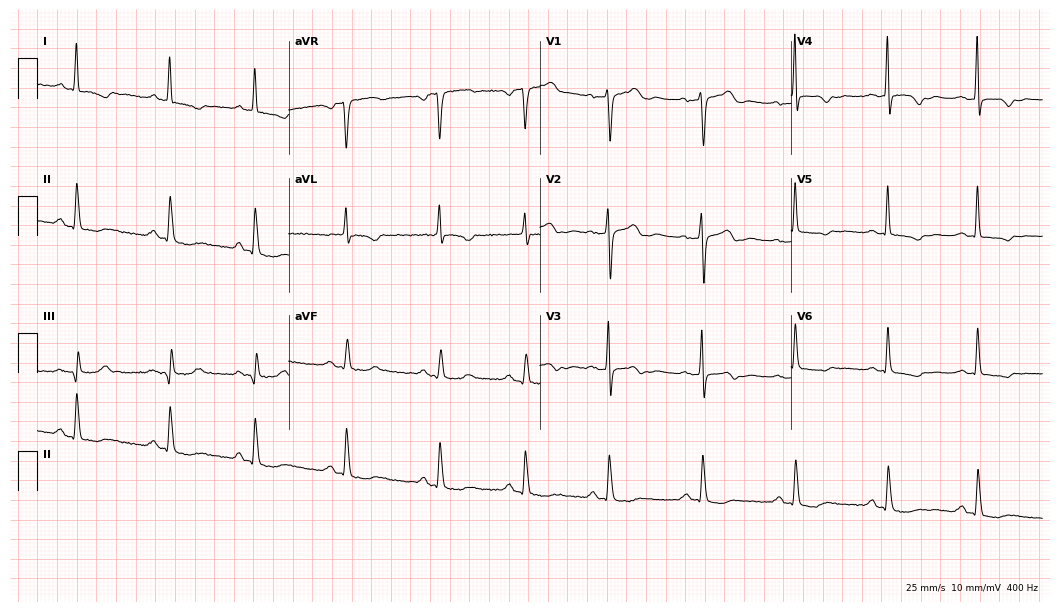
Standard 12-lead ECG recorded from a woman, 52 years old. None of these six findings is recorded: first-degree AV block, right bundle branch block, left bundle branch block, sinus bradycardia, atrial fibrillation, sinus tachycardia.